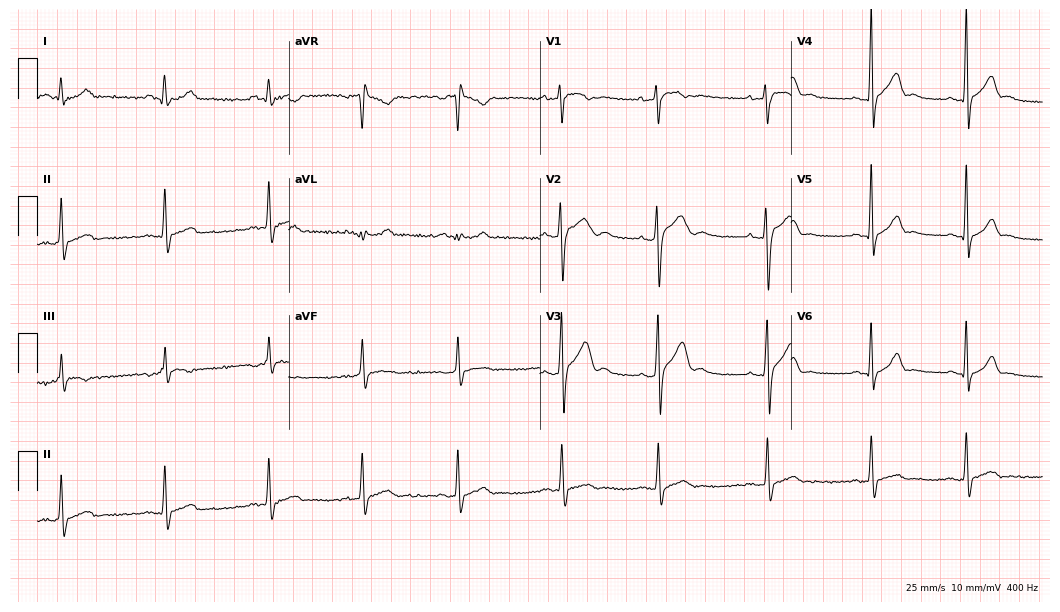
12-lead ECG from a male, 17 years old. No first-degree AV block, right bundle branch block, left bundle branch block, sinus bradycardia, atrial fibrillation or sinus tachycardia recorded for this tracing. Findings outside these six are not listed.